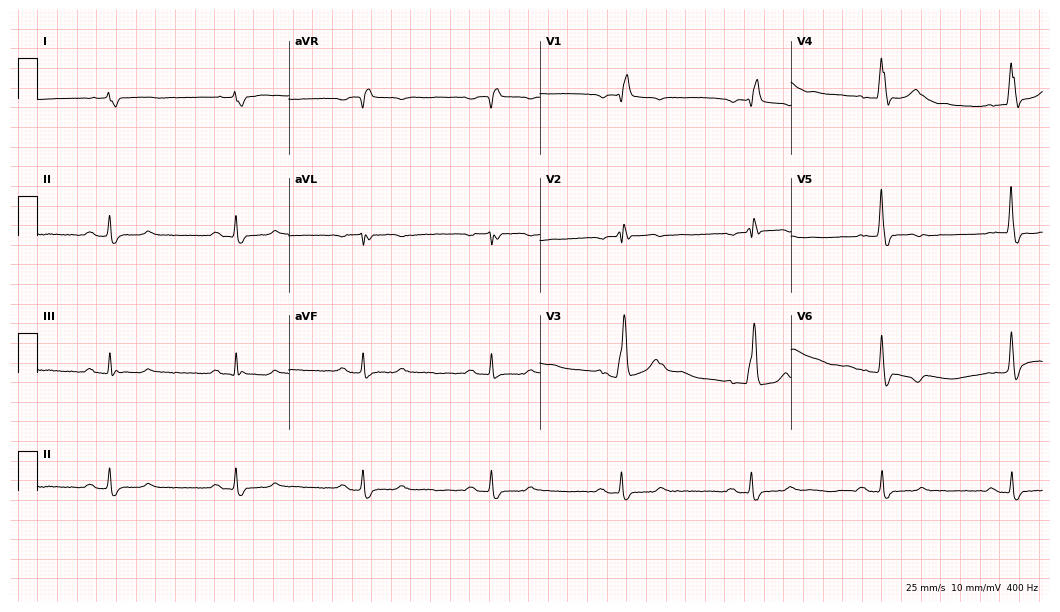
Electrocardiogram (10.2-second recording at 400 Hz), a 61-year-old male. Interpretation includes first-degree AV block, right bundle branch block (RBBB).